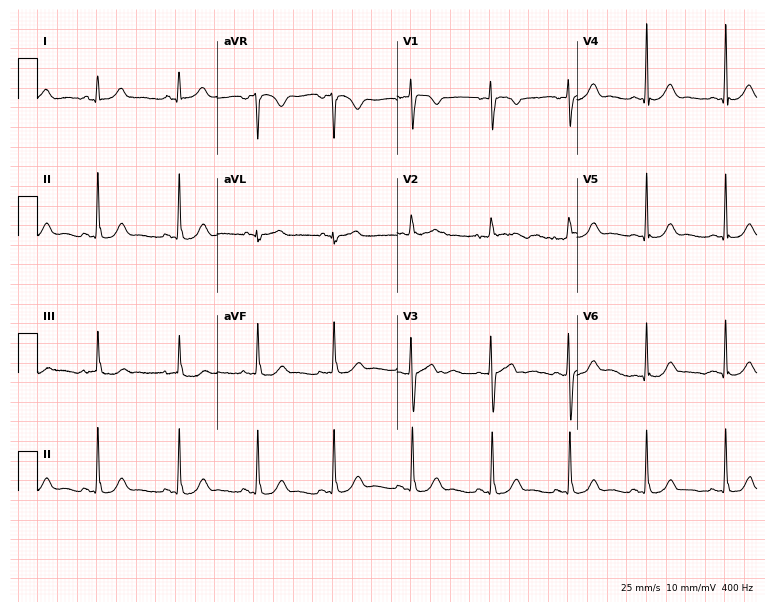
ECG (7.3-second recording at 400 Hz) — a 19-year-old female patient. Labelled as a normal ECG.